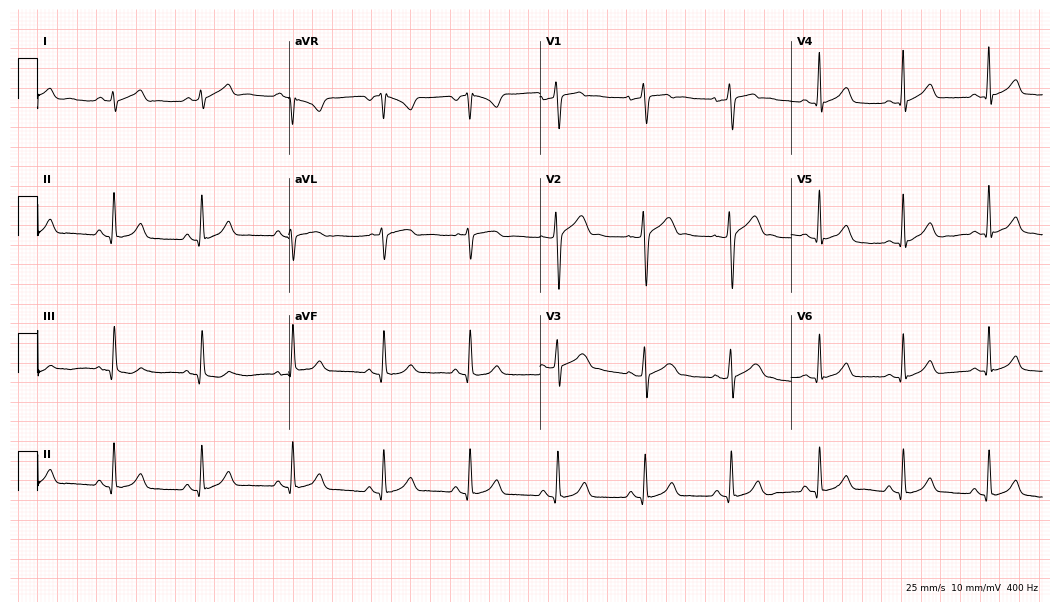
ECG (10.2-second recording at 400 Hz) — a 20-year-old man. Labelled as a normal ECG.